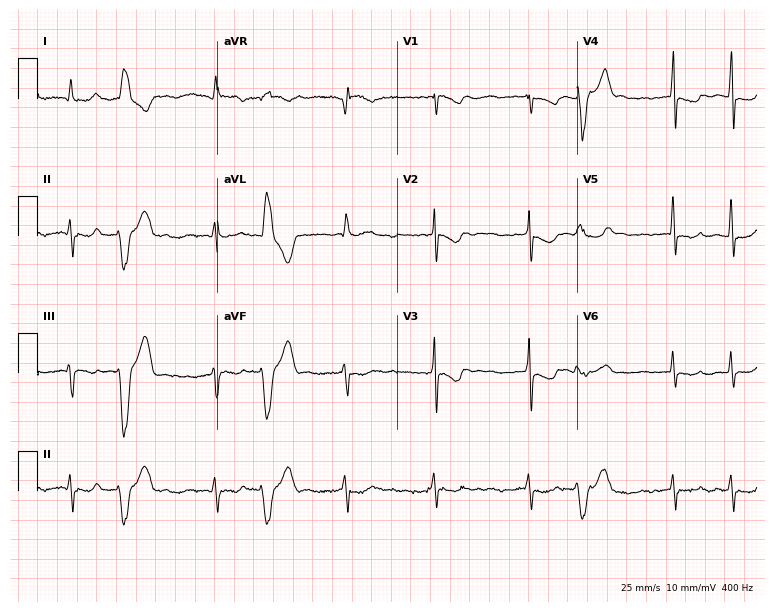
12-lead ECG from a 76-year-old female patient (7.3-second recording at 400 Hz). No first-degree AV block, right bundle branch block, left bundle branch block, sinus bradycardia, atrial fibrillation or sinus tachycardia recorded for this tracing.